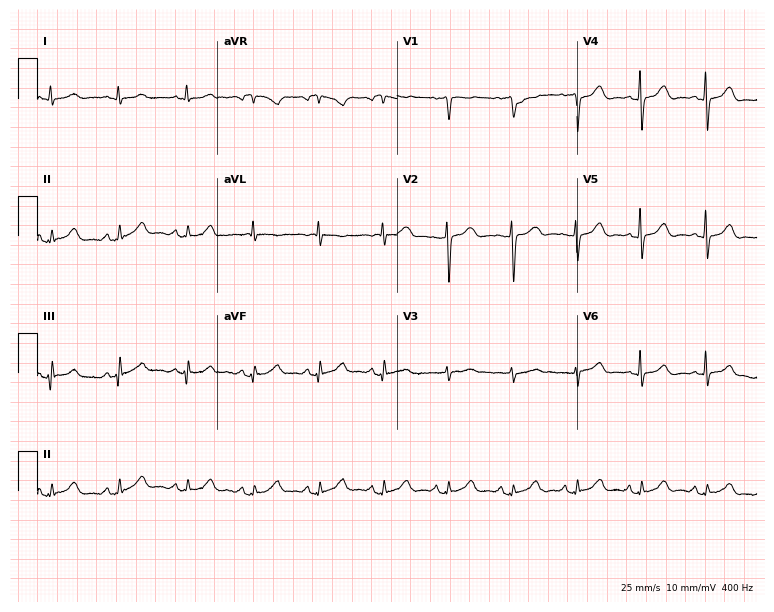
Electrocardiogram (7.3-second recording at 400 Hz), a female, 64 years old. Overall reading on record: normal ECG.